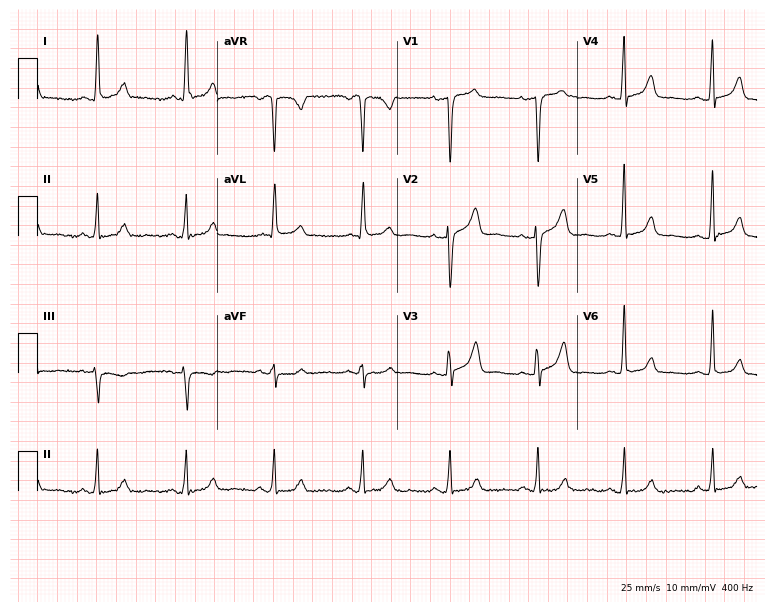
Standard 12-lead ECG recorded from a 57-year-old female. Read as a normal ECG.